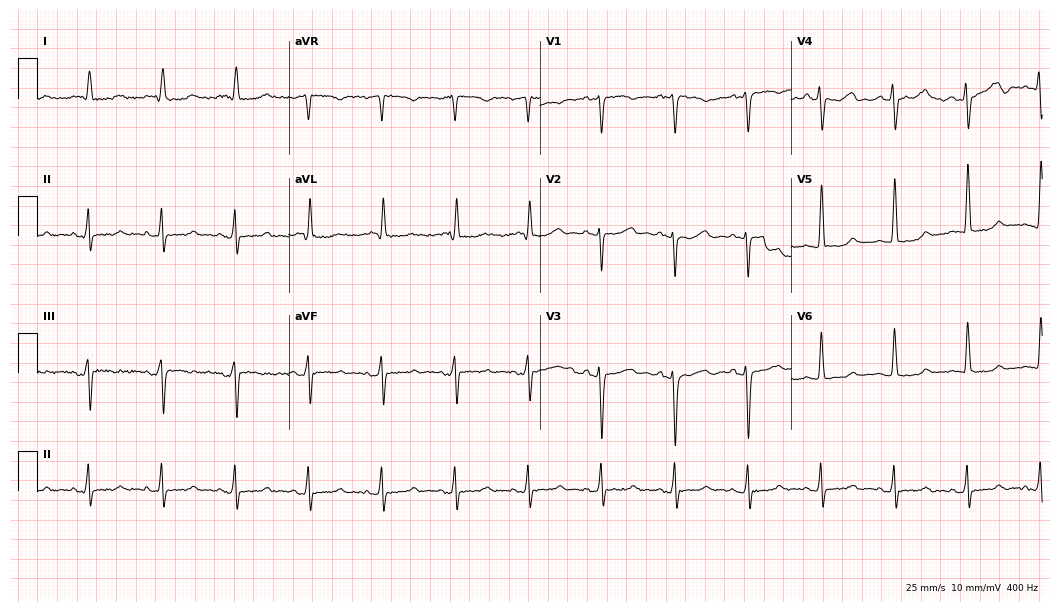
Resting 12-lead electrocardiogram (10.2-second recording at 400 Hz). Patient: a 44-year-old female. None of these six findings is recorded: first-degree AV block, right bundle branch block, left bundle branch block, sinus bradycardia, atrial fibrillation, sinus tachycardia. Only these six findings were labelled.